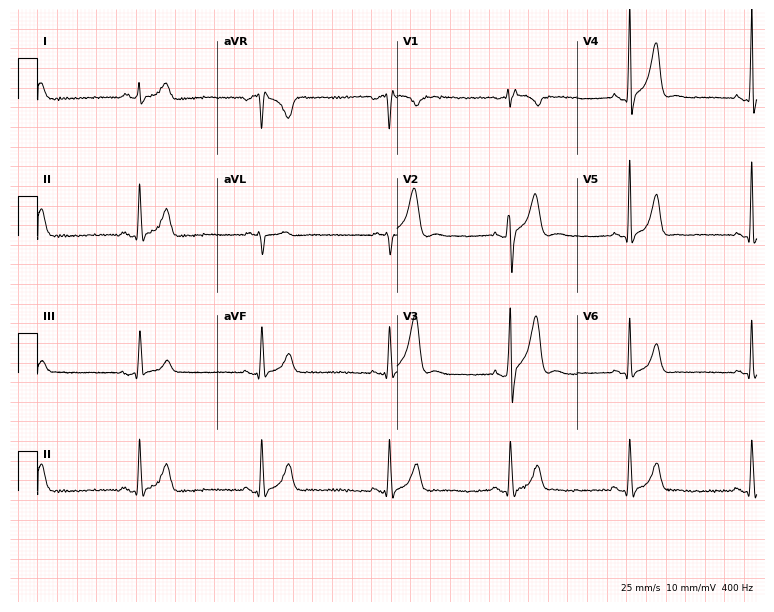
12-lead ECG from a male patient, 34 years old. Shows sinus bradycardia (a sinus rate of 50 beats per minute or less).